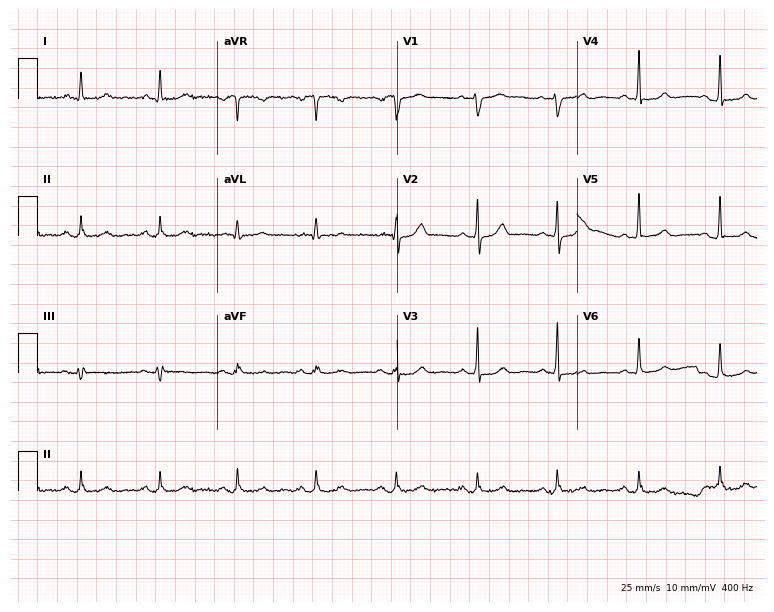
Resting 12-lead electrocardiogram (7.3-second recording at 400 Hz). Patient: a 73-year-old female. Read as a normal ECG.